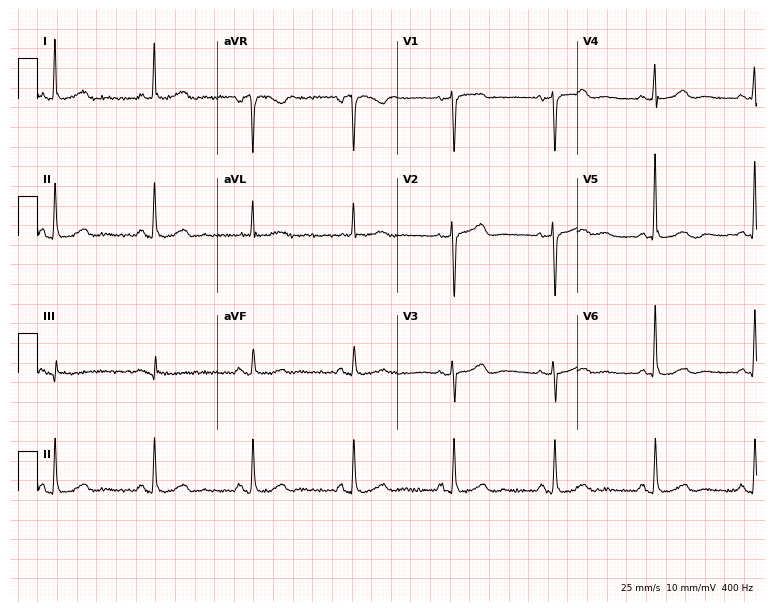
12-lead ECG from a 77-year-old female patient (7.3-second recording at 400 Hz). Recorded interpretation: within normal limits.